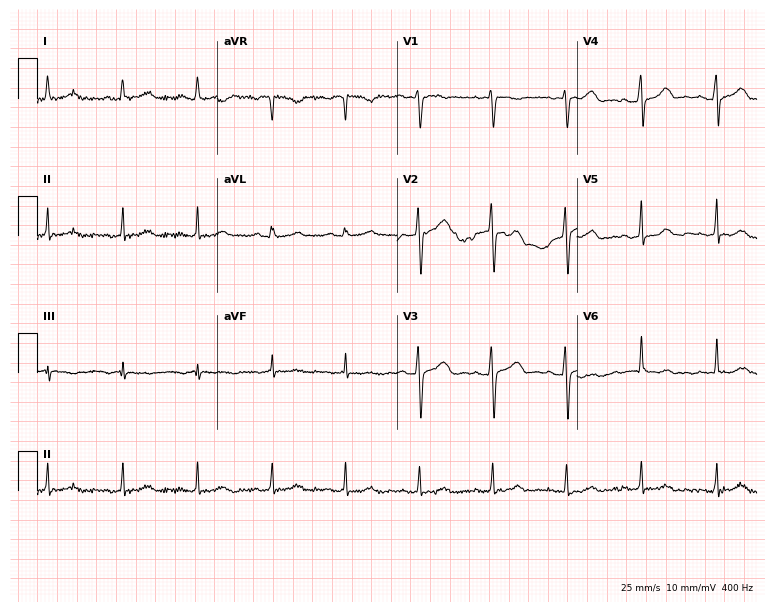
12-lead ECG from a 36-year-old female patient (7.3-second recording at 400 Hz). Recorded interpretation: within normal limits.